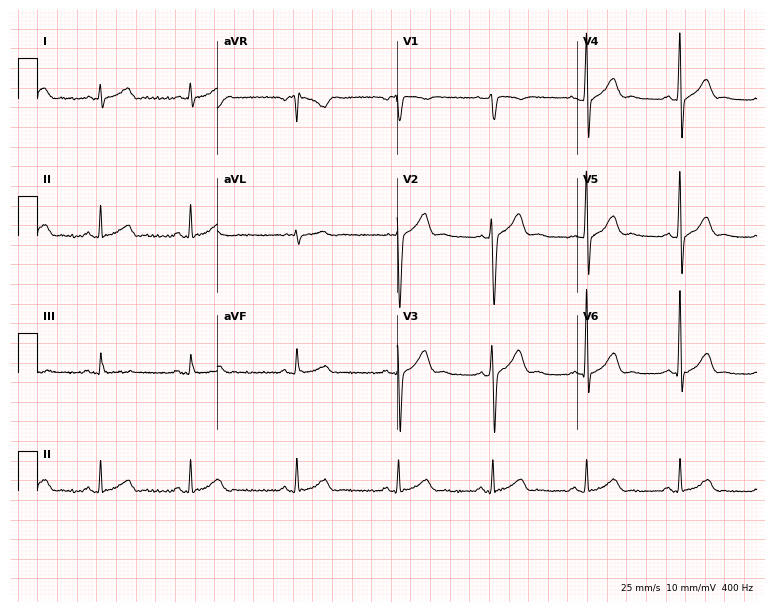
ECG — a male patient, 32 years old. Labelled as a normal ECG.